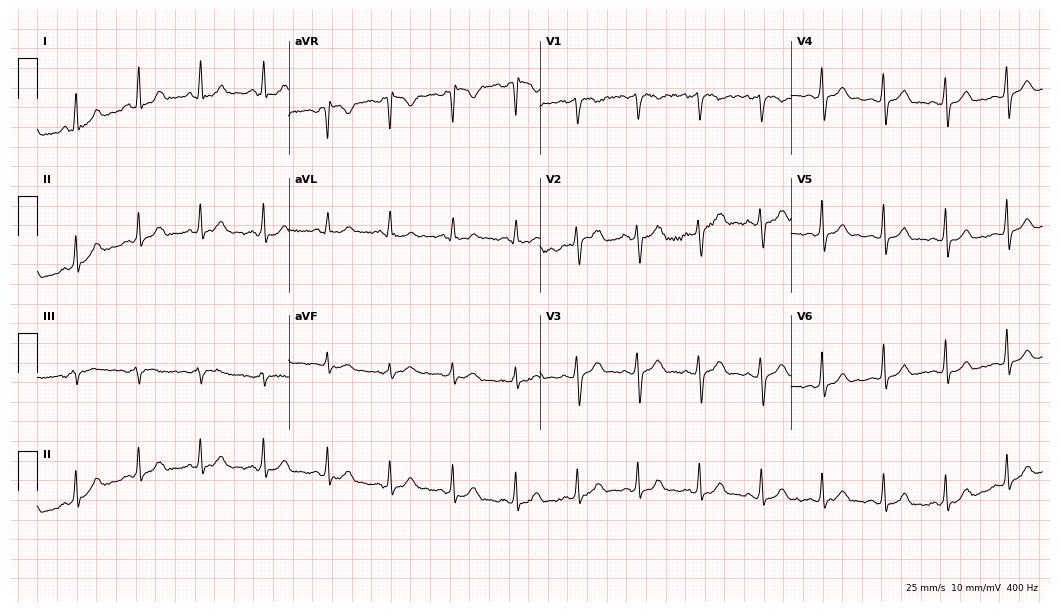
Electrocardiogram (10.2-second recording at 400 Hz), a female, 36 years old. Of the six screened findings (first-degree AV block, right bundle branch block (RBBB), left bundle branch block (LBBB), sinus bradycardia, atrial fibrillation (AF), sinus tachycardia), none is recorded.